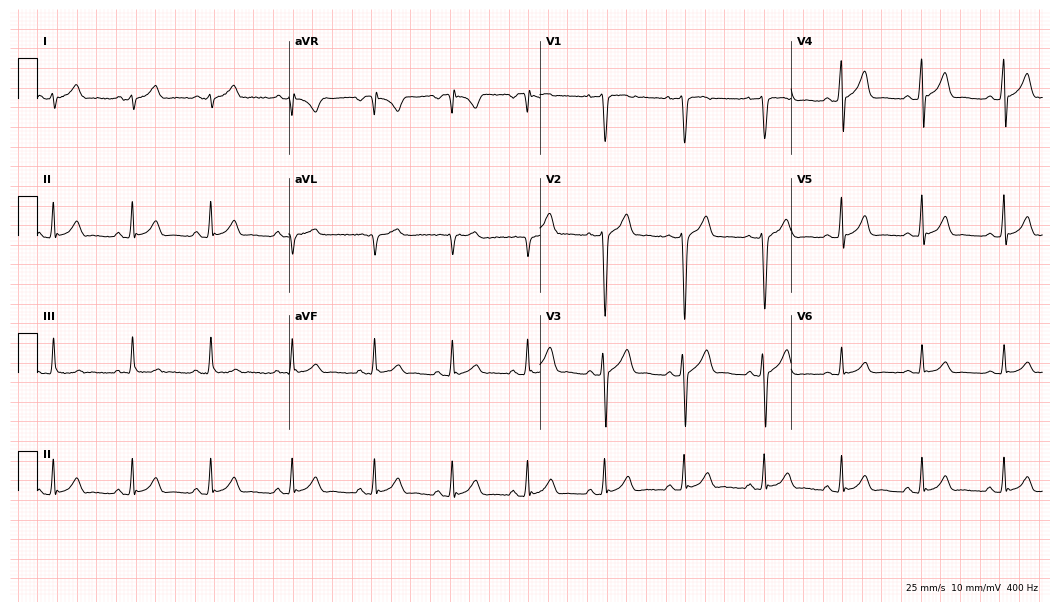
12-lead ECG from a male, 18 years old. Recorded interpretation: within normal limits.